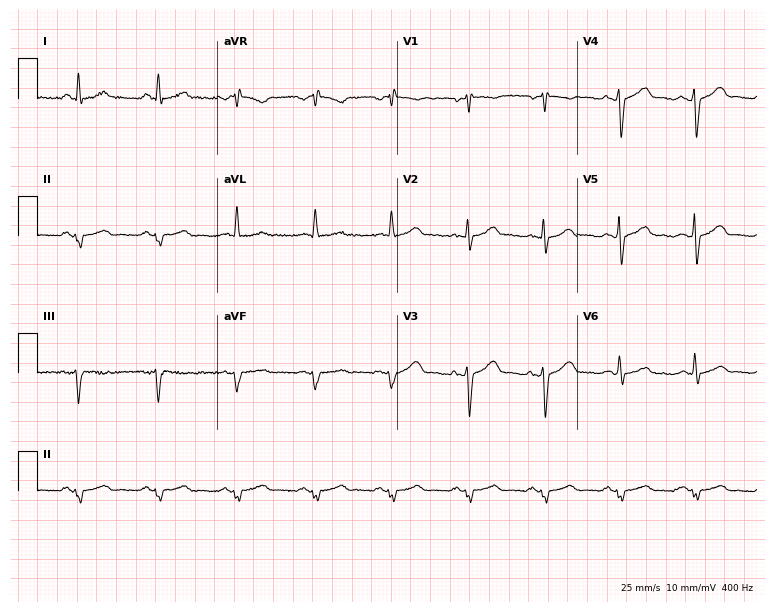
Standard 12-lead ECG recorded from a 19-year-old man (7.3-second recording at 400 Hz). None of these six findings is recorded: first-degree AV block, right bundle branch block, left bundle branch block, sinus bradycardia, atrial fibrillation, sinus tachycardia. Other findings, if any, are not listed.